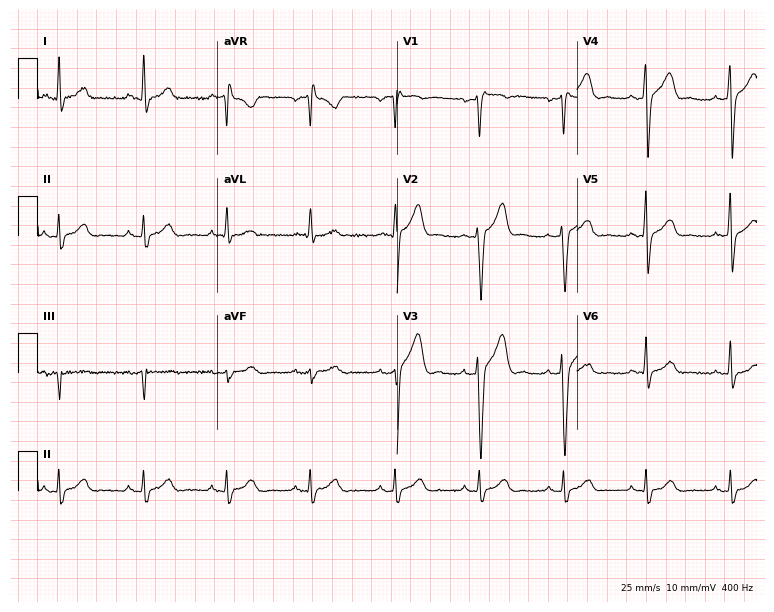
Resting 12-lead electrocardiogram. Patient: a male, 43 years old. Read as a normal ECG.